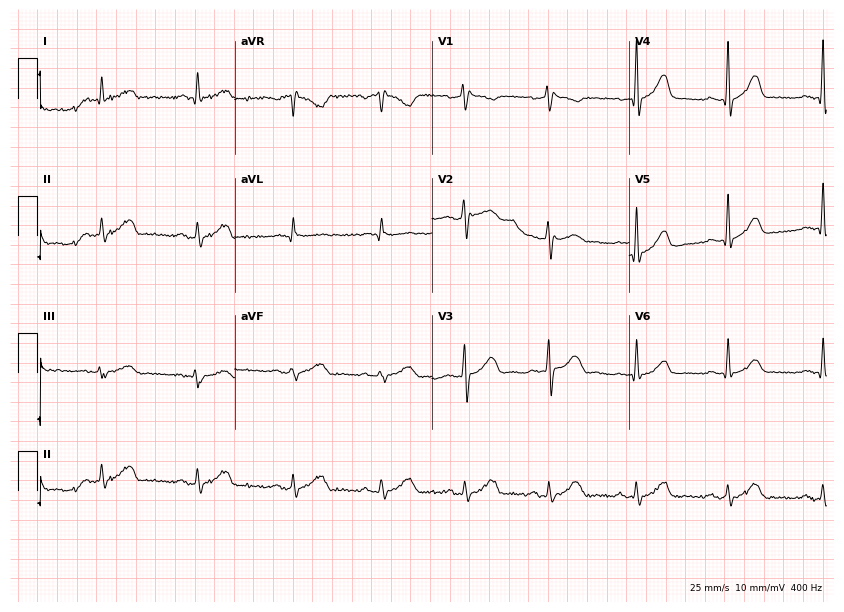
Standard 12-lead ECG recorded from a 57-year-old man (8-second recording at 400 Hz). None of these six findings is recorded: first-degree AV block, right bundle branch block, left bundle branch block, sinus bradycardia, atrial fibrillation, sinus tachycardia.